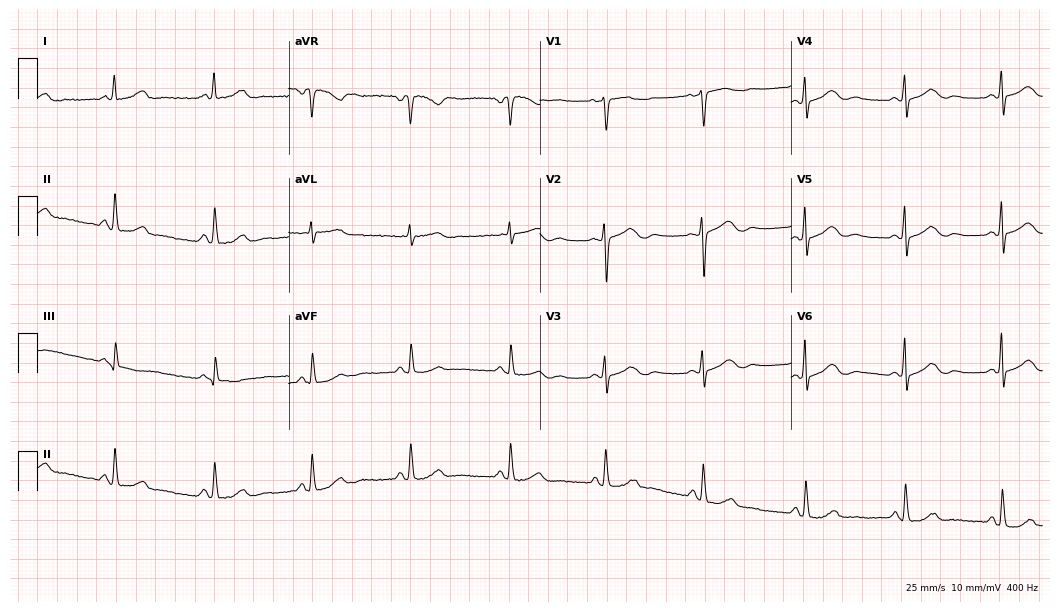
Resting 12-lead electrocardiogram (10.2-second recording at 400 Hz). Patient: a 48-year-old female. Read as a normal ECG.